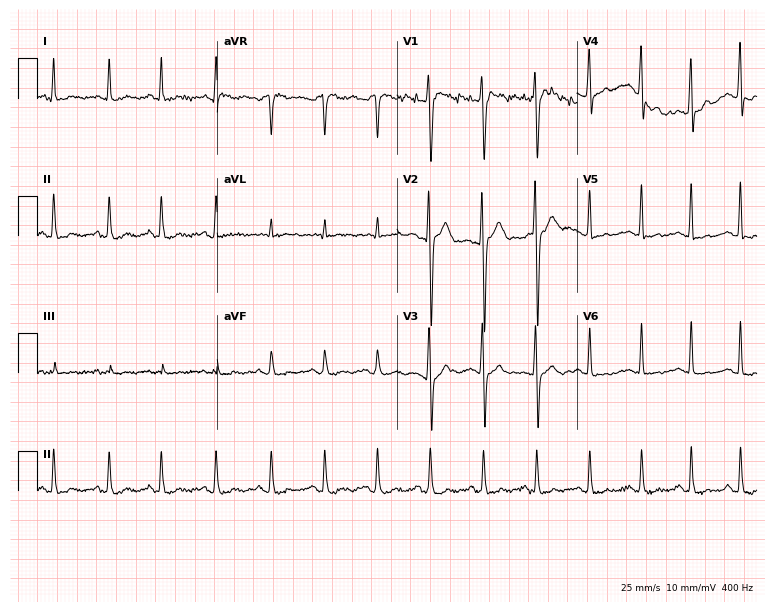
Electrocardiogram, a 17-year-old male. Interpretation includes sinus tachycardia (a sinus rate of 100 beats per minute or more).